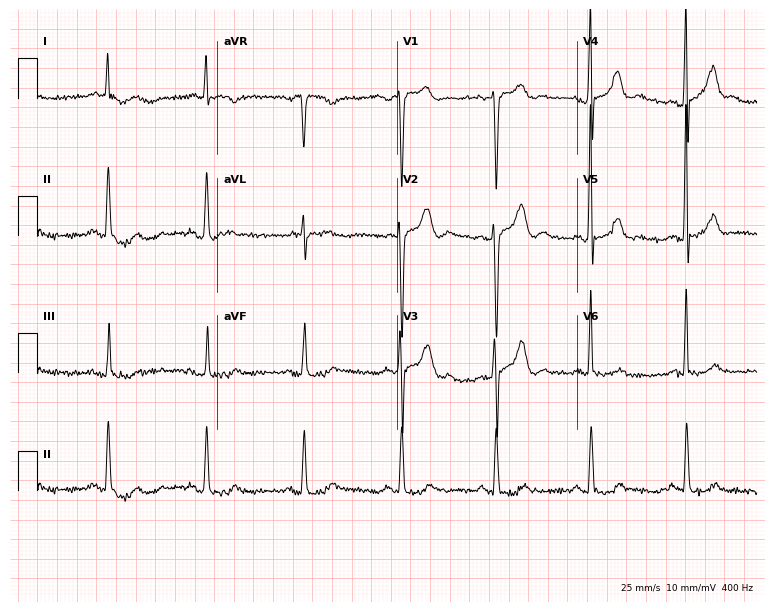
12-lead ECG from a male, 79 years old (7.3-second recording at 400 Hz). No first-degree AV block, right bundle branch block, left bundle branch block, sinus bradycardia, atrial fibrillation or sinus tachycardia recorded for this tracing. Only these six findings were labelled.